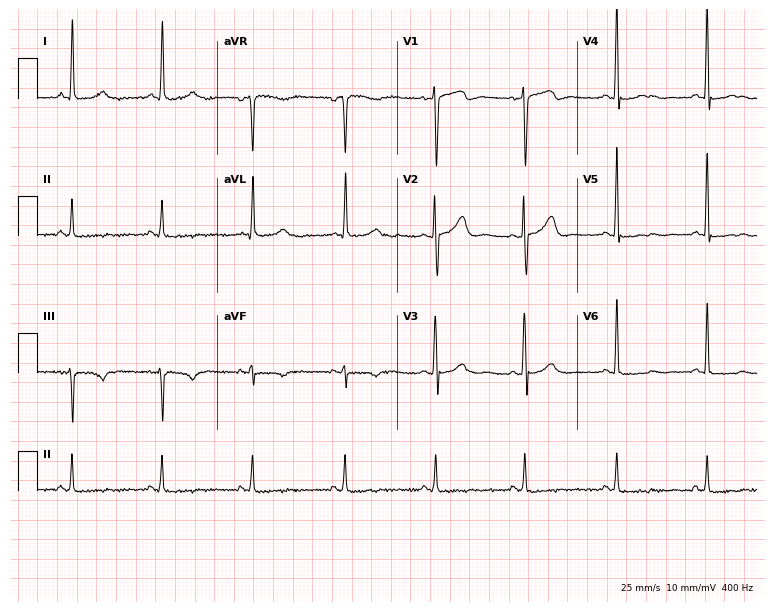
12-lead ECG from a woman, 65 years old (7.3-second recording at 400 Hz). No first-degree AV block, right bundle branch block, left bundle branch block, sinus bradycardia, atrial fibrillation or sinus tachycardia recorded for this tracing.